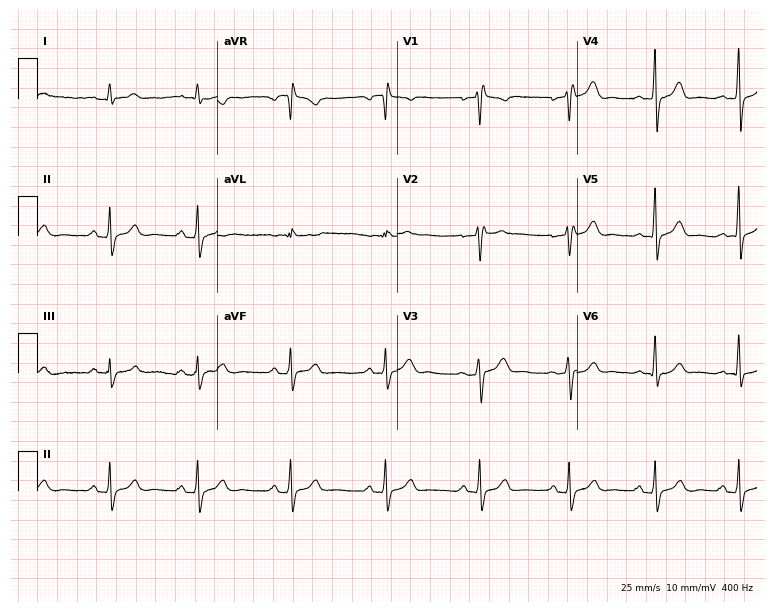
ECG — a 33-year-old male. Screened for six findings — first-degree AV block, right bundle branch block (RBBB), left bundle branch block (LBBB), sinus bradycardia, atrial fibrillation (AF), sinus tachycardia — none is recorded.